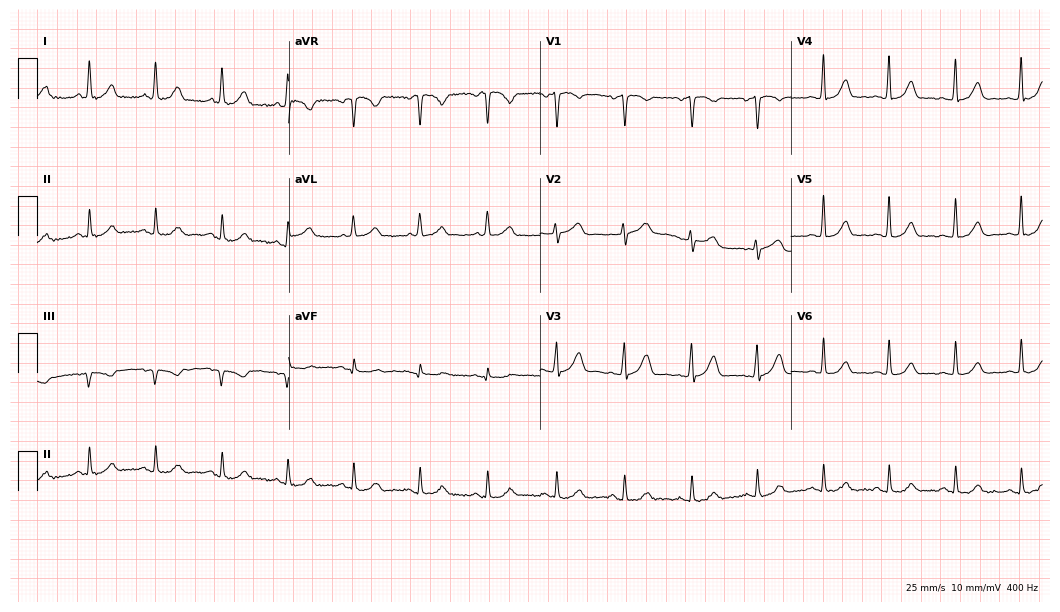
12-lead ECG from a female, 60 years old. Recorded interpretation: within normal limits.